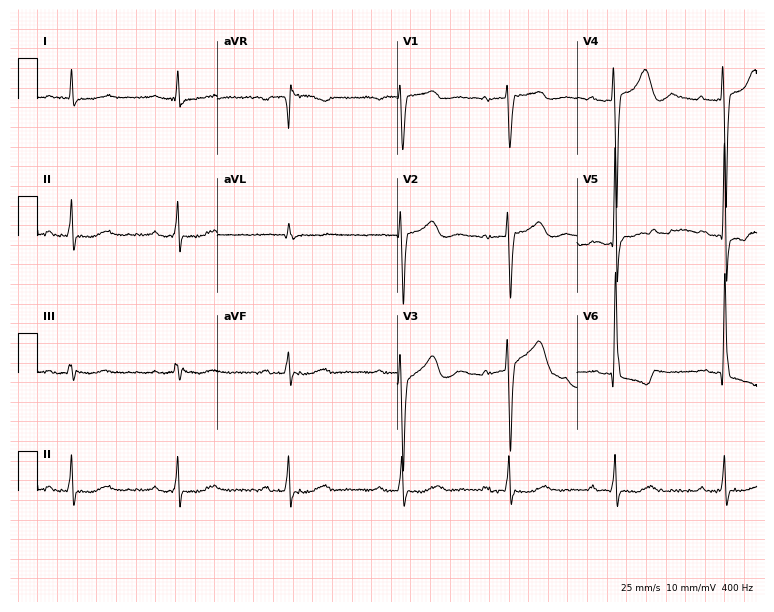
Standard 12-lead ECG recorded from an 85-year-old woman. None of these six findings is recorded: first-degree AV block, right bundle branch block, left bundle branch block, sinus bradycardia, atrial fibrillation, sinus tachycardia. Only these six findings were labelled.